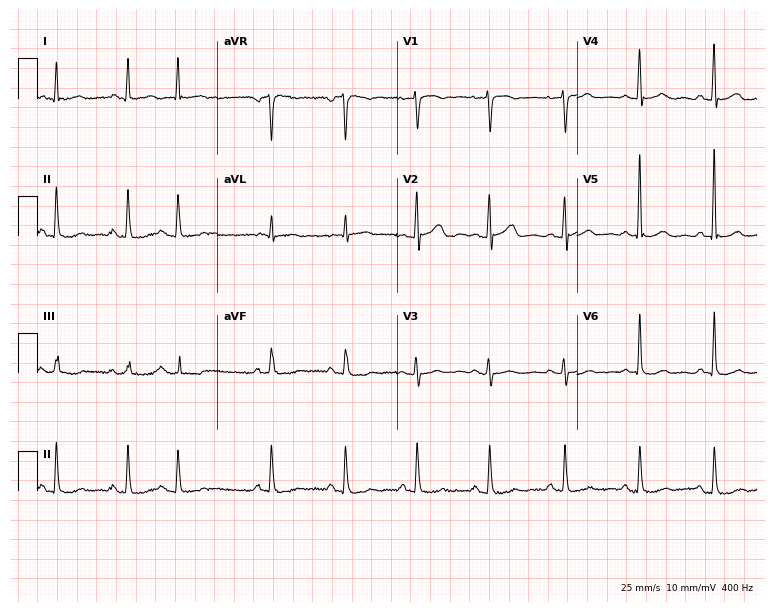
Resting 12-lead electrocardiogram. Patient: a female, 55 years old. None of these six findings is recorded: first-degree AV block, right bundle branch block, left bundle branch block, sinus bradycardia, atrial fibrillation, sinus tachycardia.